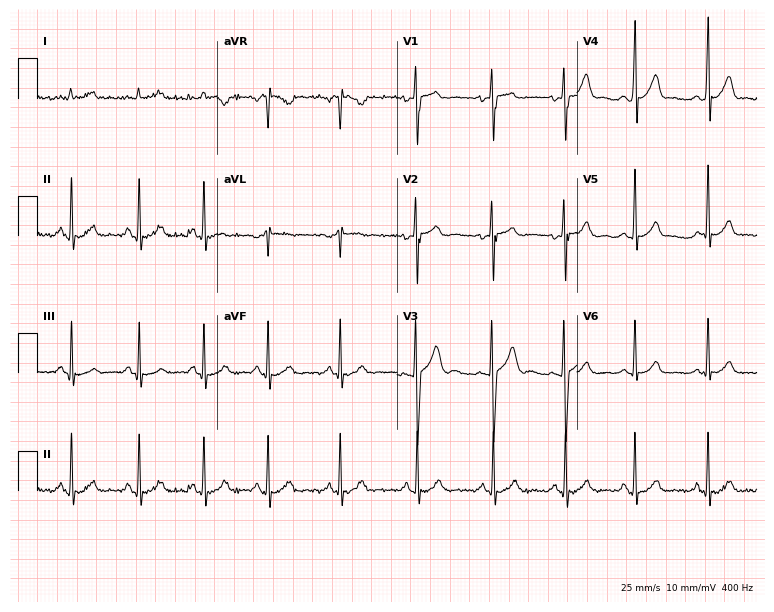
12-lead ECG from a 21-year-old man. Recorded interpretation: within normal limits.